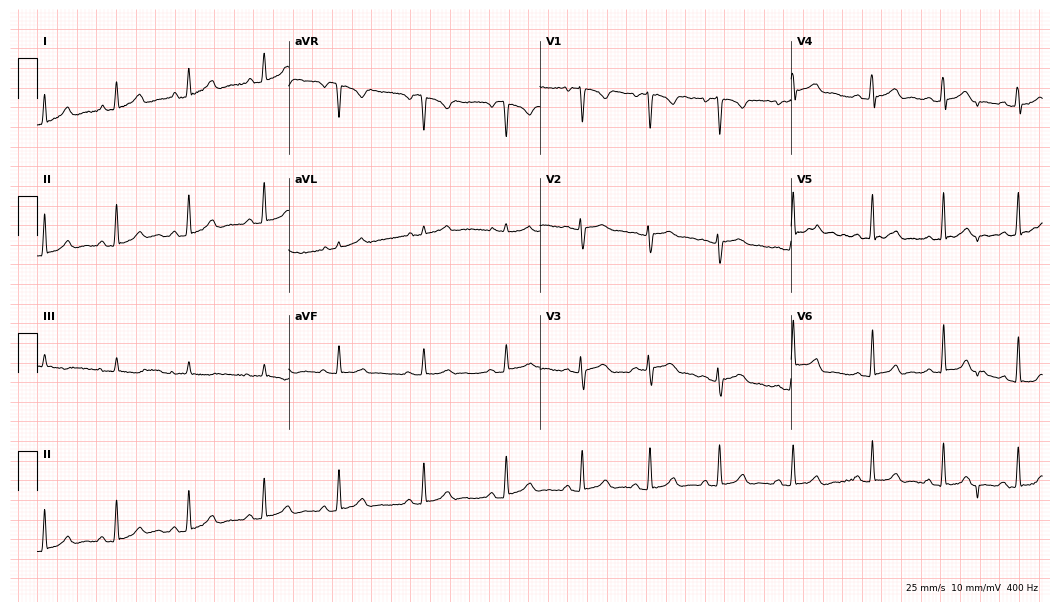
12-lead ECG (10.2-second recording at 400 Hz) from a woman, 18 years old. Labelled as a normal ECG.